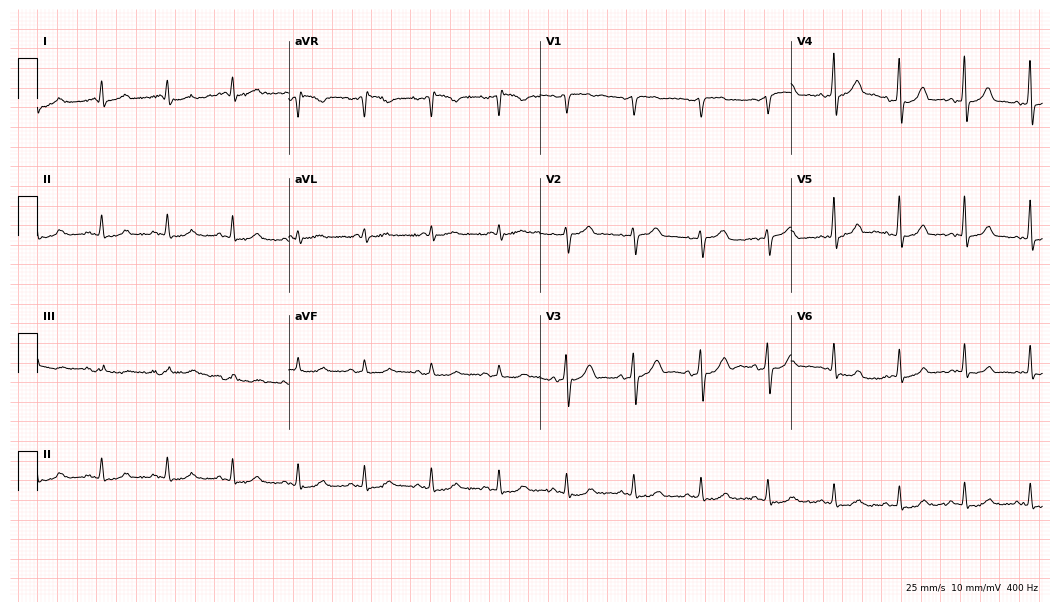
12-lead ECG from a man, 59 years old (10.2-second recording at 400 Hz). No first-degree AV block, right bundle branch block (RBBB), left bundle branch block (LBBB), sinus bradycardia, atrial fibrillation (AF) or sinus tachycardia recorded for this tracing. Findings outside these six are not listed.